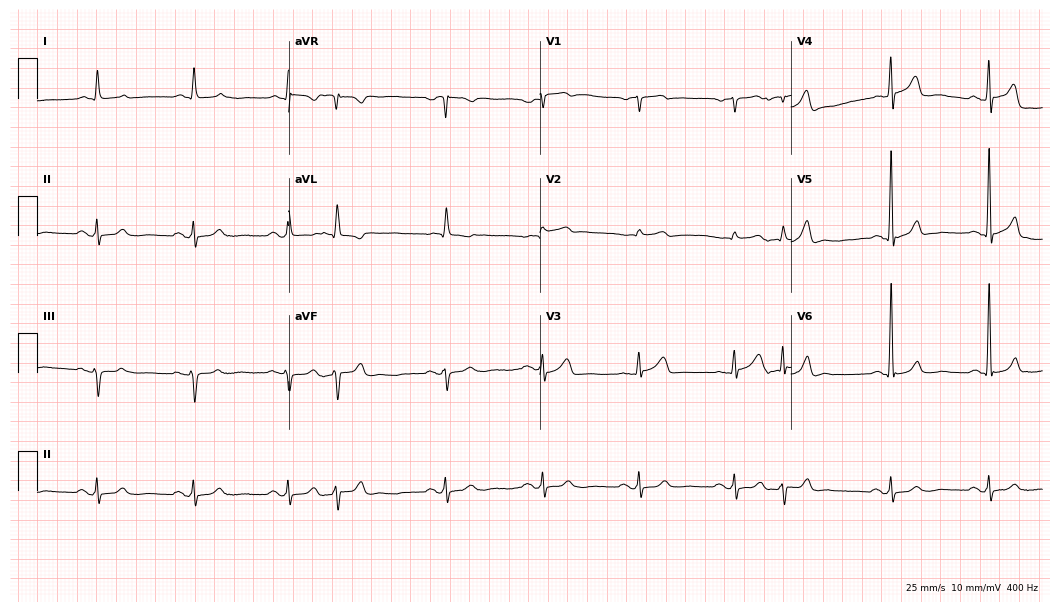
Electrocardiogram, a 78-year-old male. Of the six screened findings (first-degree AV block, right bundle branch block, left bundle branch block, sinus bradycardia, atrial fibrillation, sinus tachycardia), none is recorded.